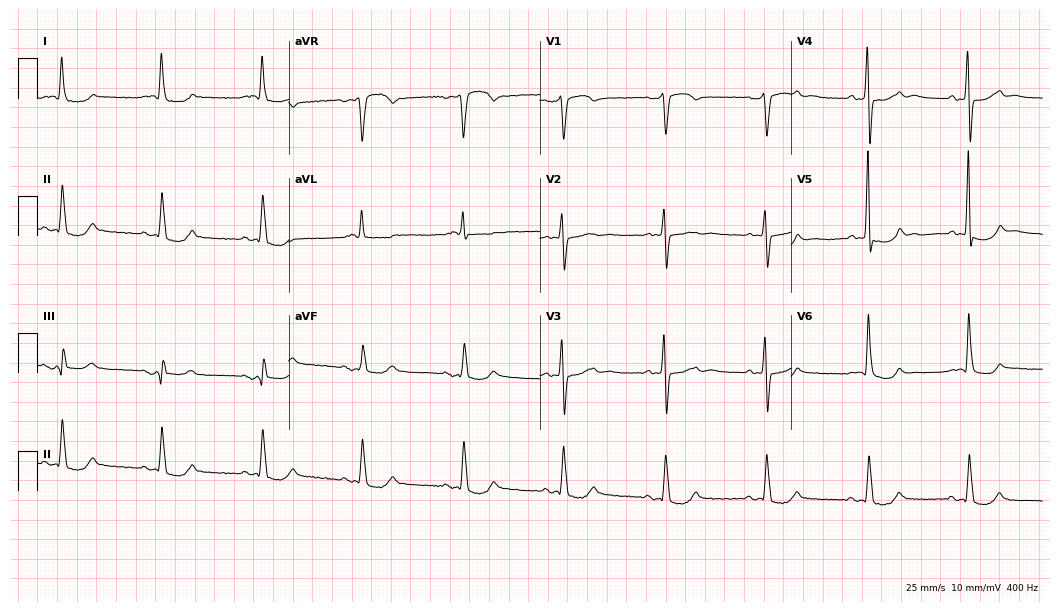
12-lead ECG (10.2-second recording at 400 Hz) from a man, 68 years old. Screened for six findings — first-degree AV block, right bundle branch block, left bundle branch block, sinus bradycardia, atrial fibrillation, sinus tachycardia — none is recorded. Only these six findings were labelled.